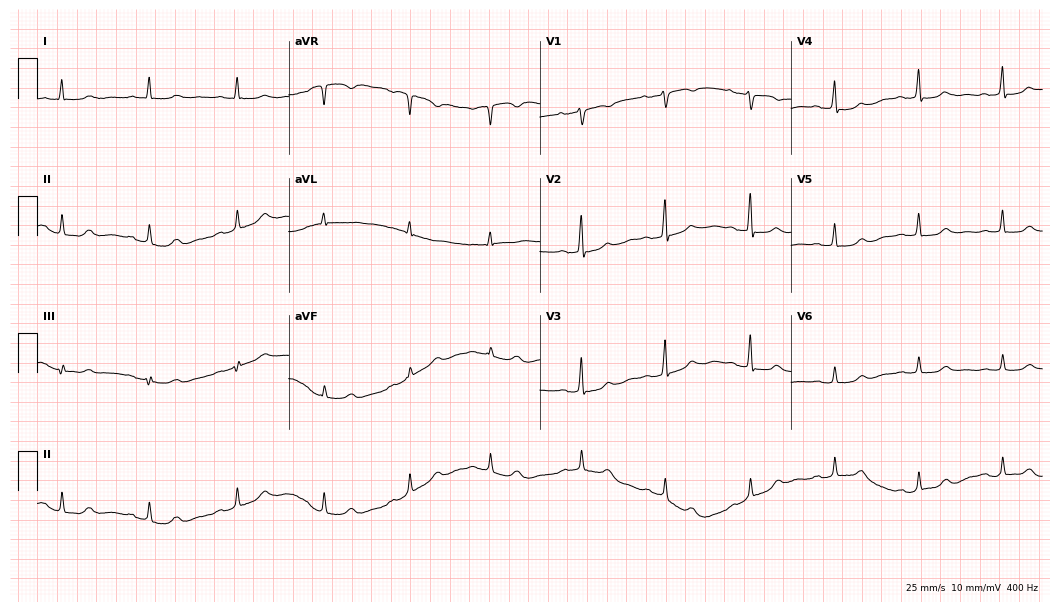
Electrocardiogram, a woman, 78 years old. Of the six screened findings (first-degree AV block, right bundle branch block (RBBB), left bundle branch block (LBBB), sinus bradycardia, atrial fibrillation (AF), sinus tachycardia), none is recorded.